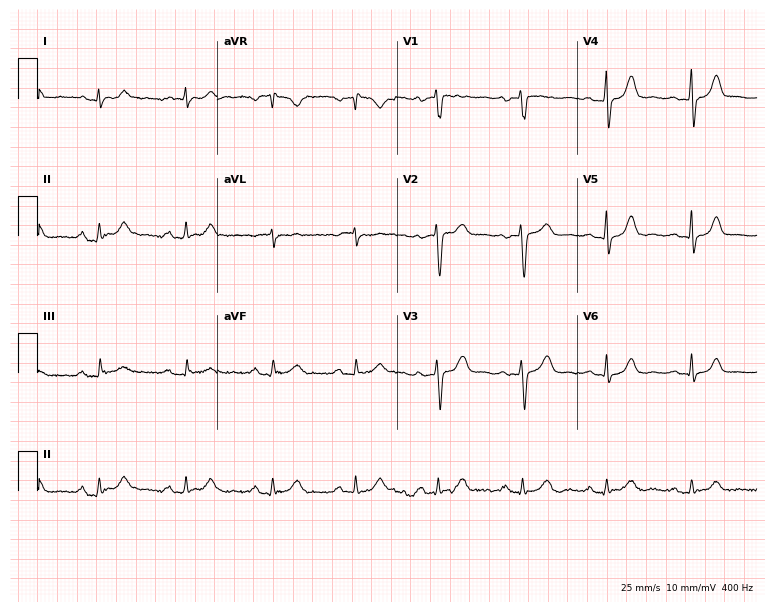
12-lead ECG (7.3-second recording at 400 Hz) from a woman, 42 years old. Labelled as a normal ECG.